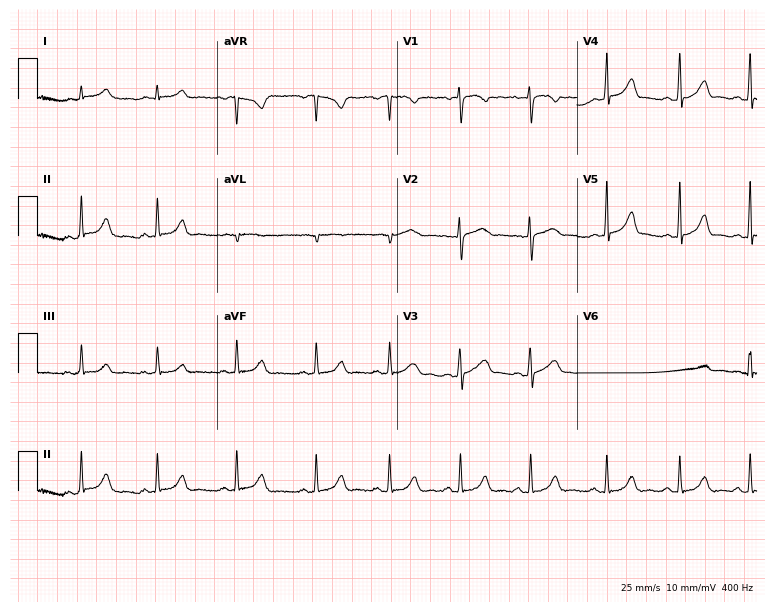
Resting 12-lead electrocardiogram. Patient: a 22-year-old female. None of these six findings is recorded: first-degree AV block, right bundle branch block, left bundle branch block, sinus bradycardia, atrial fibrillation, sinus tachycardia.